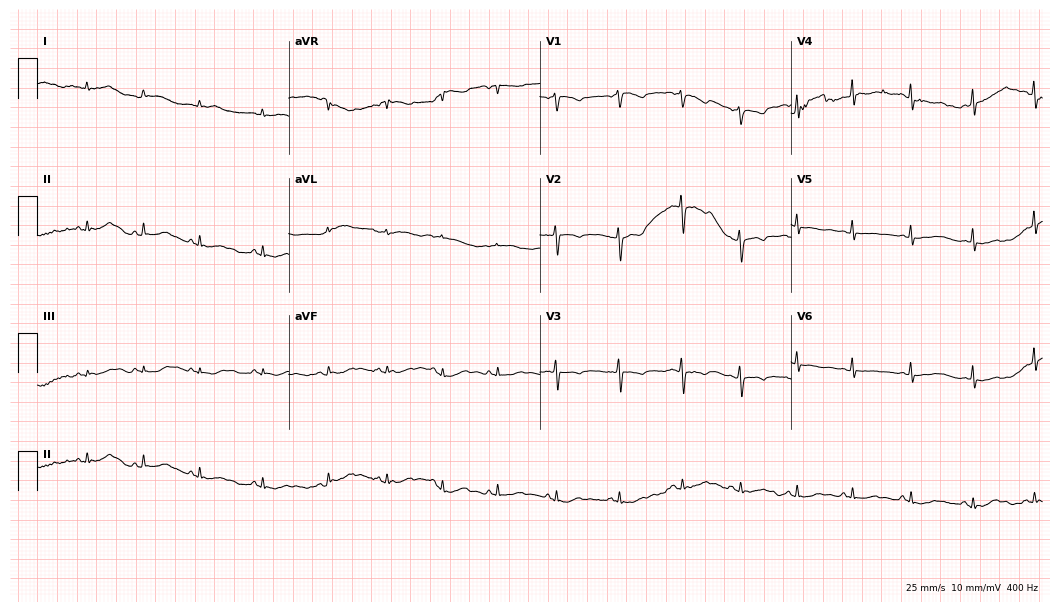
12-lead ECG from a female patient, 19 years old (10.2-second recording at 400 Hz). Shows sinus tachycardia (a sinus rate of 100 beats per minute or more).